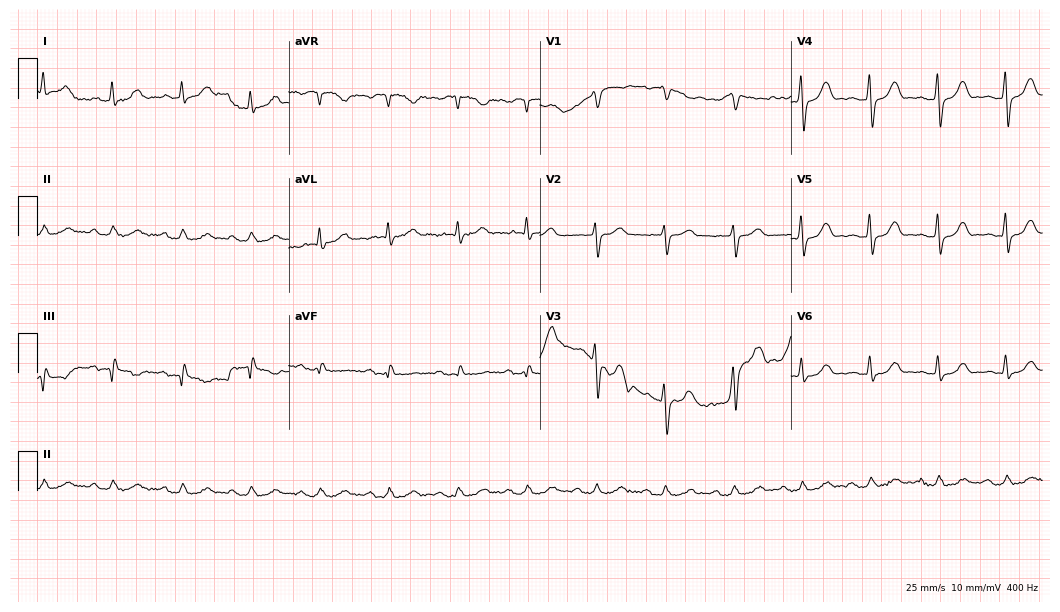
Resting 12-lead electrocardiogram (10.2-second recording at 400 Hz). Patient: an 81-year-old male. None of these six findings is recorded: first-degree AV block, right bundle branch block (RBBB), left bundle branch block (LBBB), sinus bradycardia, atrial fibrillation (AF), sinus tachycardia. Only these six findings were labelled.